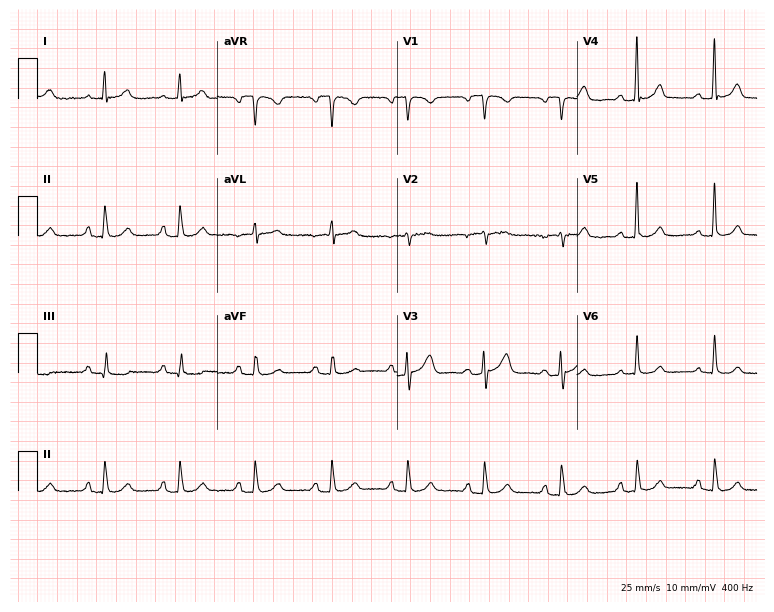
Resting 12-lead electrocardiogram. Patient: a man, 50 years old. Read as a normal ECG.